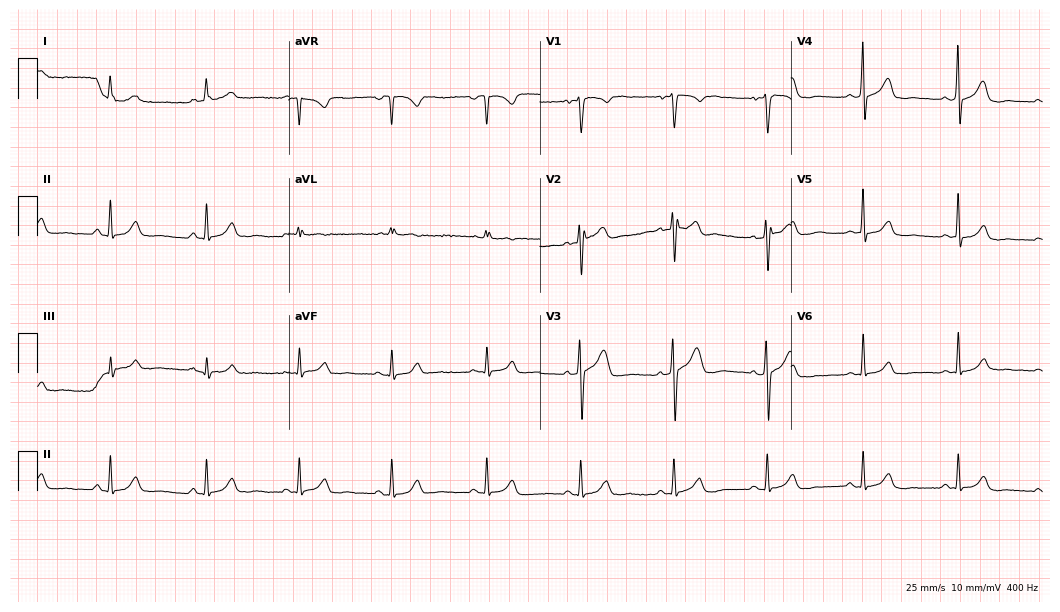
Resting 12-lead electrocardiogram (10.2-second recording at 400 Hz). Patient: a 55-year-old man. None of these six findings is recorded: first-degree AV block, right bundle branch block (RBBB), left bundle branch block (LBBB), sinus bradycardia, atrial fibrillation (AF), sinus tachycardia. Other findings, if any, are not listed.